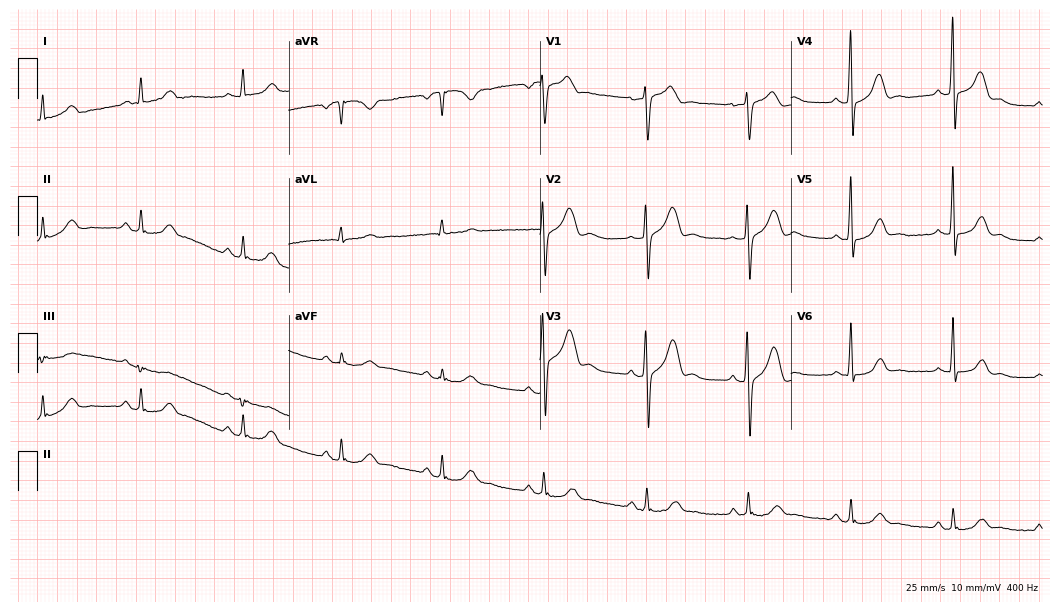
12-lead ECG from a man, 45 years old (10.2-second recording at 400 Hz). Recorded interpretation: within normal limits.